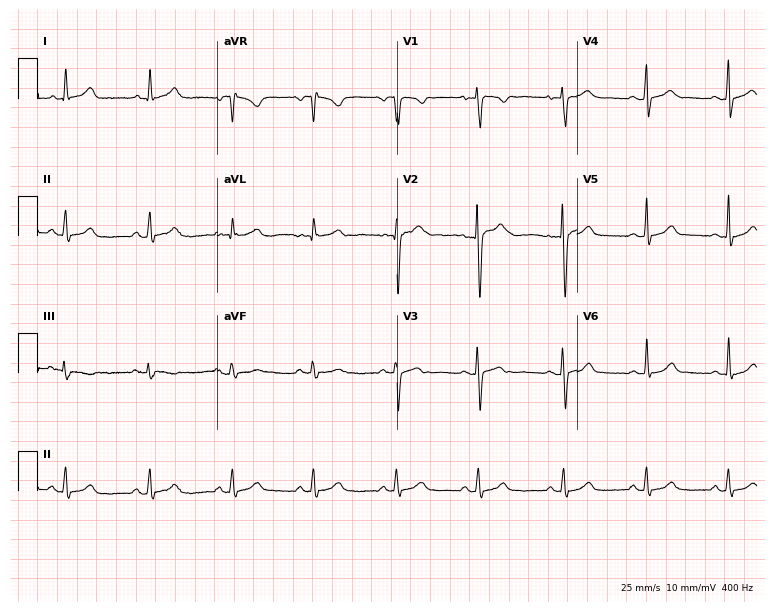
ECG — a 29-year-old female. Screened for six findings — first-degree AV block, right bundle branch block, left bundle branch block, sinus bradycardia, atrial fibrillation, sinus tachycardia — none is recorded. Findings outside these six are not listed.